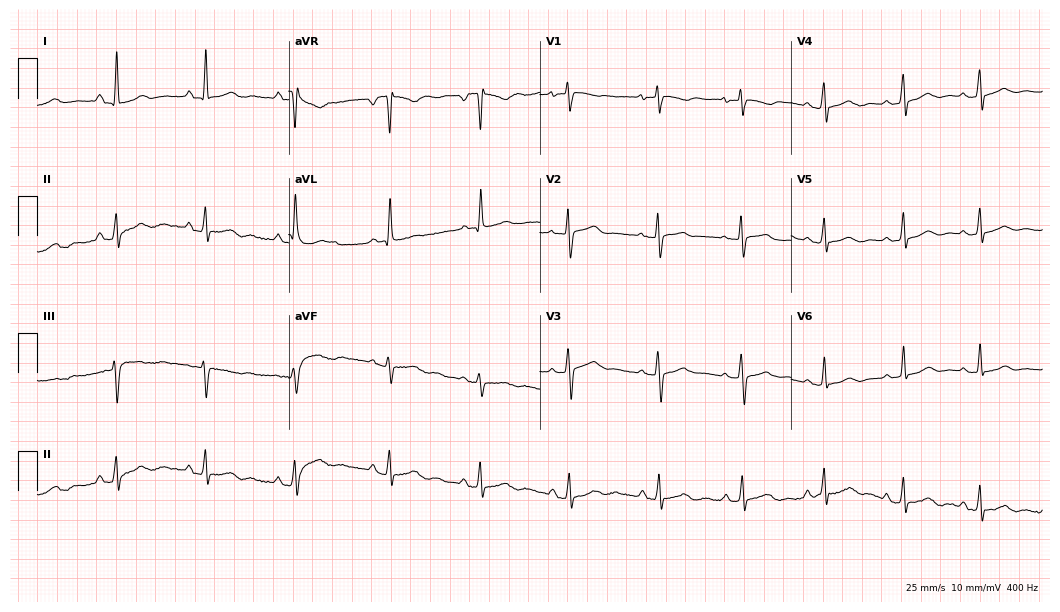
Electrocardiogram, a 29-year-old female patient. Of the six screened findings (first-degree AV block, right bundle branch block, left bundle branch block, sinus bradycardia, atrial fibrillation, sinus tachycardia), none is recorded.